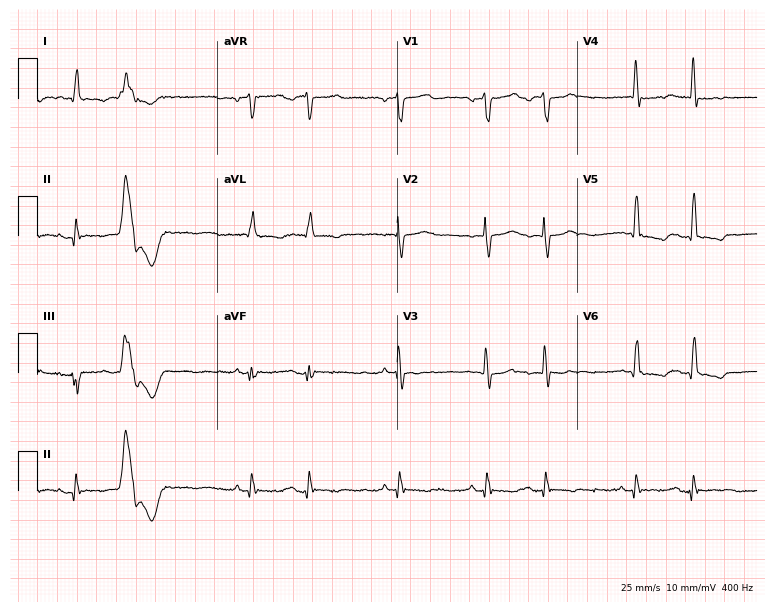
ECG — a man, 80 years old. Screened for six findings — first-degree AV block, right bundle branch block (RBBB), left bundle branch block (LBBB), sinus bradycardia, atrial fibrillation (AF), sinus tachycardia — none is recorded.